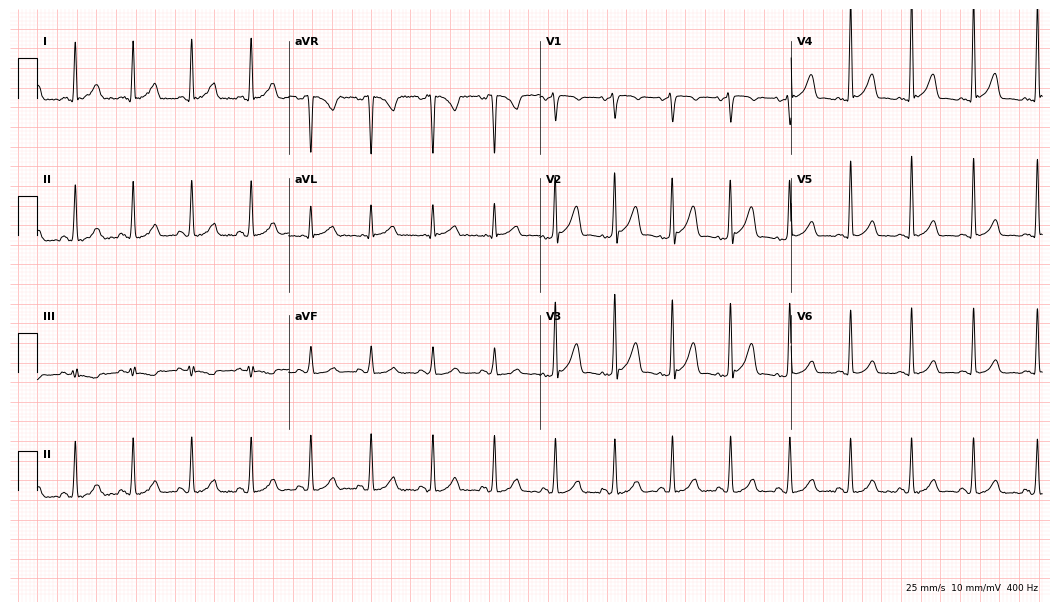
12-lead ECG from a 30-year-old female patient. No first-degree AV block, right bundle branch block, left bundle branch block, sinus bradycardia, atrial fibrillation or sinus tachycardia recorded for this tracing.